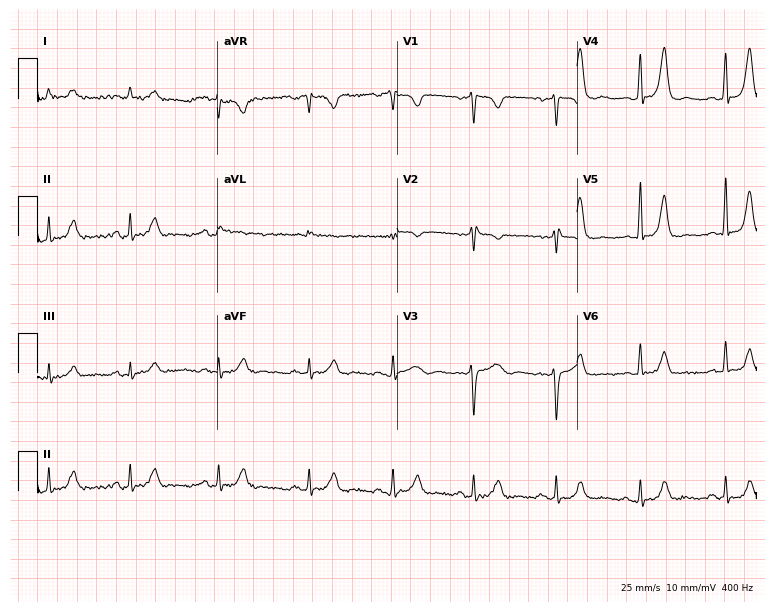
Electrocardiogram, a 41-year-old female patient. Of the six screened findings (first-degree AV block, right bundle branch block, left bundle branch block, sinus bradycardia, atrial fibrillation, sinus tachycardia), none is recorded. Only these six findings were labelled.